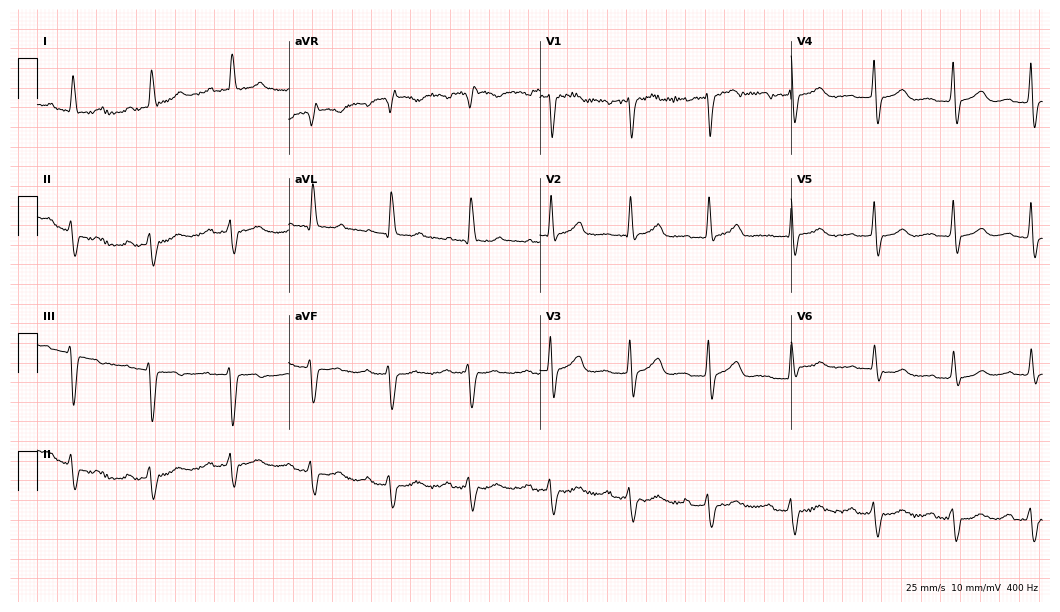
ECG — a female patient, 68 years old. Screened for six findings — first-degree AV block, right bundle branch block, left bundle branch block, sinus bradycardia, atrial fibrillation, sinus tachycardia — none is recorded.